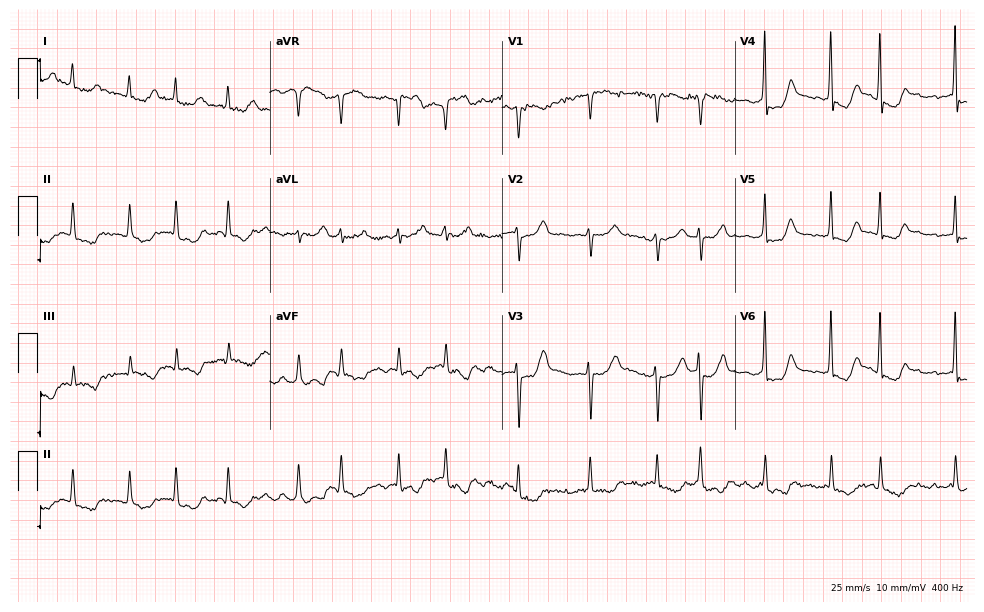
Standard 12-lead ECG recorded from a male patient, 78 years old (9.5-second recording at 400 Hz). The tracing shows atrial fibrillation.